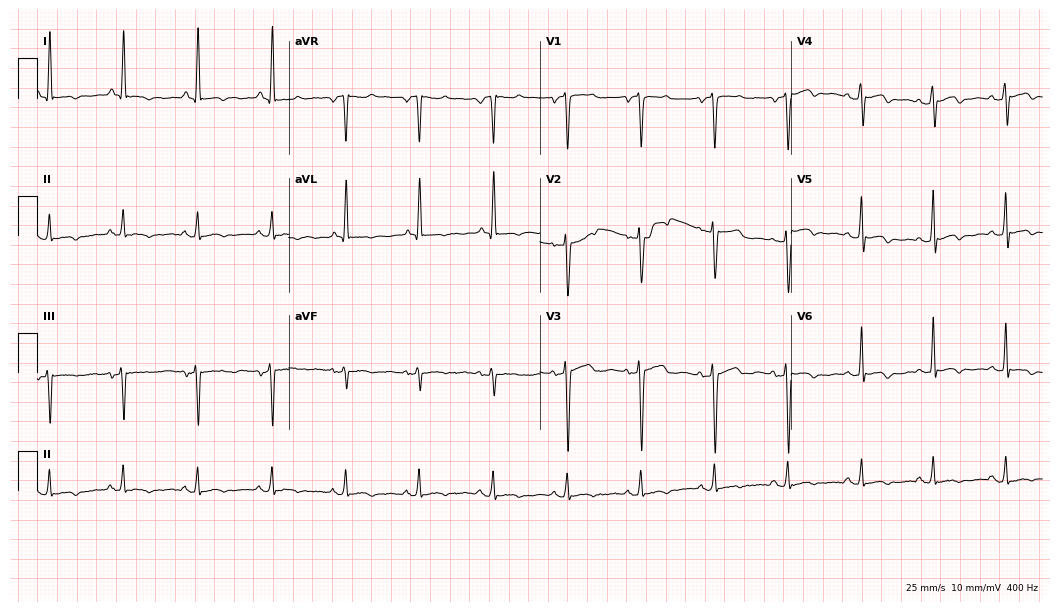
Electrocardiogram, a female, 27 years old. Of the six screened findings (first-degree AV block, right bundle branch block, left bundle branch block, sinus bradycardia, atrial fibrillation, sinus tachycardia), none is recorded. Only these six findings were labelled.